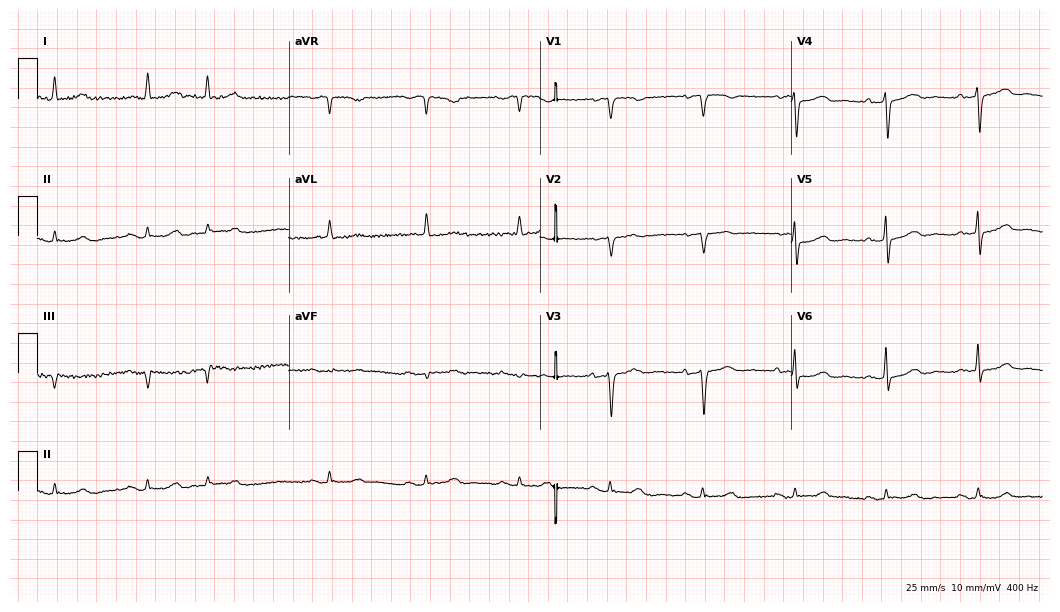
Resting 12-lead electrocardiogram. Patient: a woman, 84 years old. None of these six findings is recorded: first-degree AV block, right bundle branch block, left bundle branch block, sinus bradycardia, atrial fibrillation, sinus tachycardia.